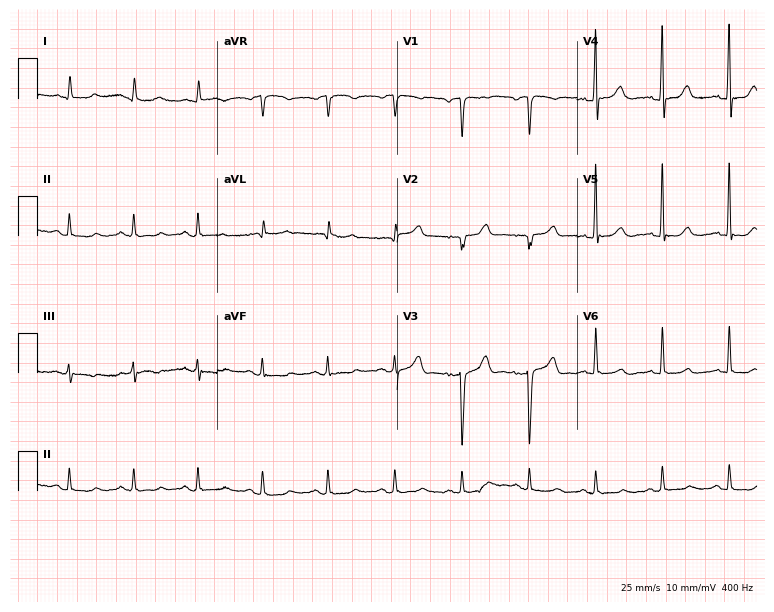
ECG (7.3-second recording at 400 Hz) — a man, 63 years old. Screened for six findings — first-degree AV block, right bundle branch block (RBBB), left bundle branch block (LBBB), sinus bradycardia, atrial fibrillation (AF), sinus tachycardia — none is recorded.